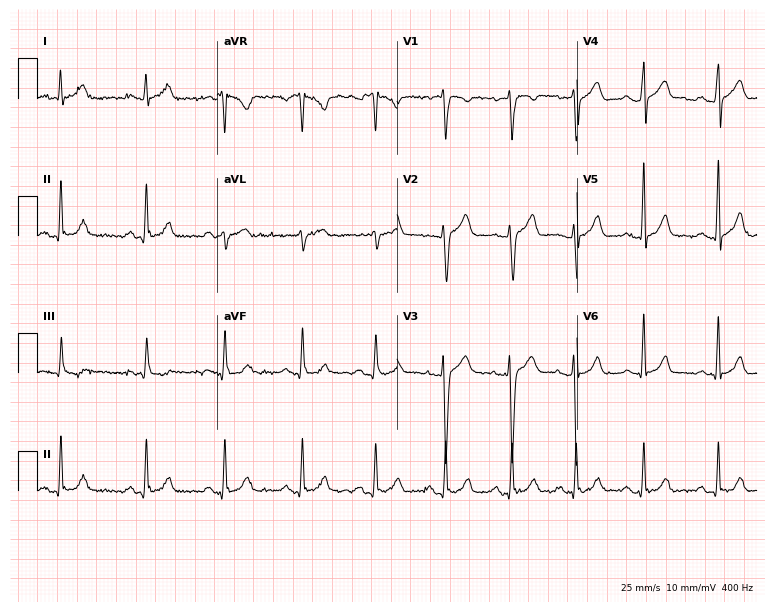
12-lead ECG from an 18-year-old man (7.3-second recording at 400 Hz). Recorded interpretation: within normal limits.